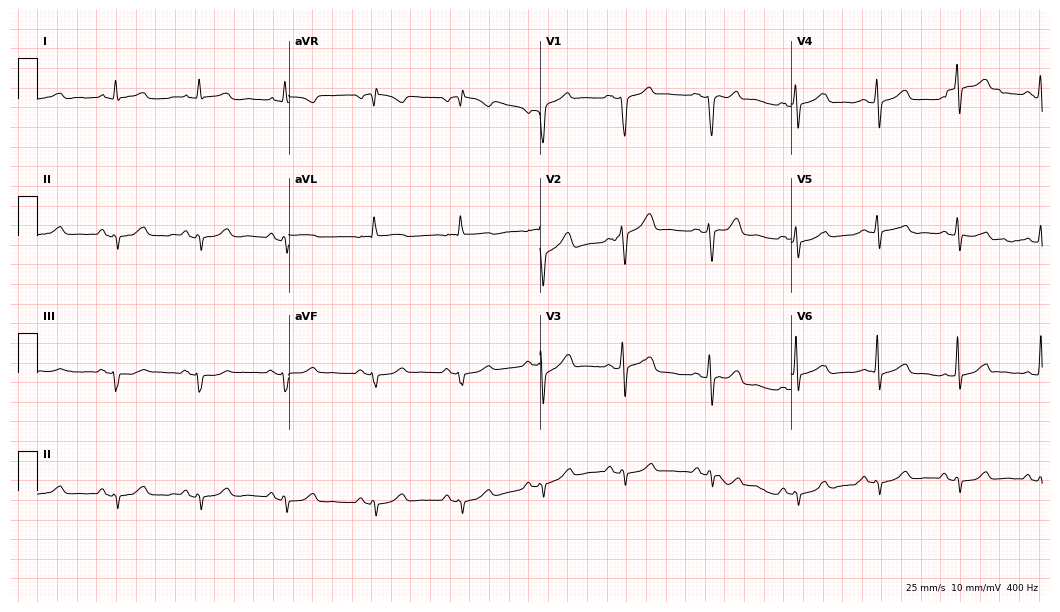
Resting 12-lead electrocardiogram. Patient: a male, 56 years old. None of these six findings is recorded: first-degree AV block, right bundle branch block, left bundle branch block, sinus bradycardia, atrial fibrillation, sinus tachycardia. Only these six findings were labelled.